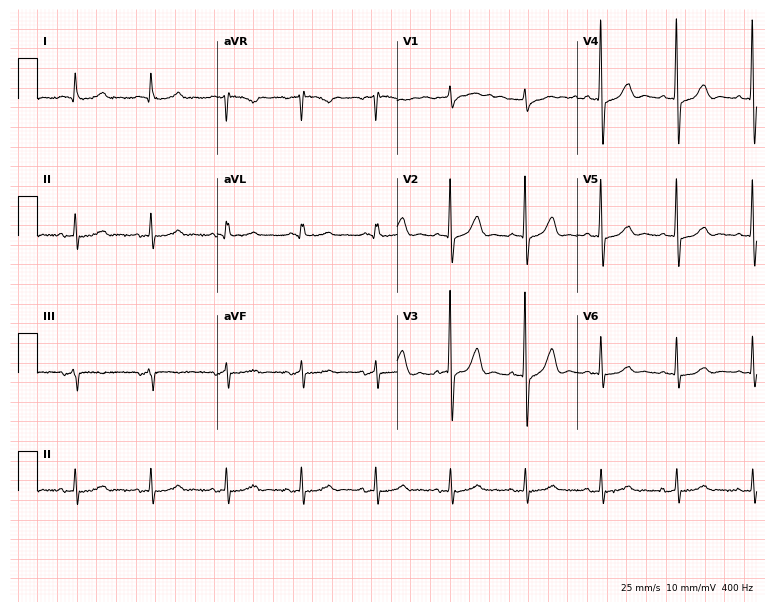
12-lead ECG from a man, 79 years old. Labelled as a normal ECG.